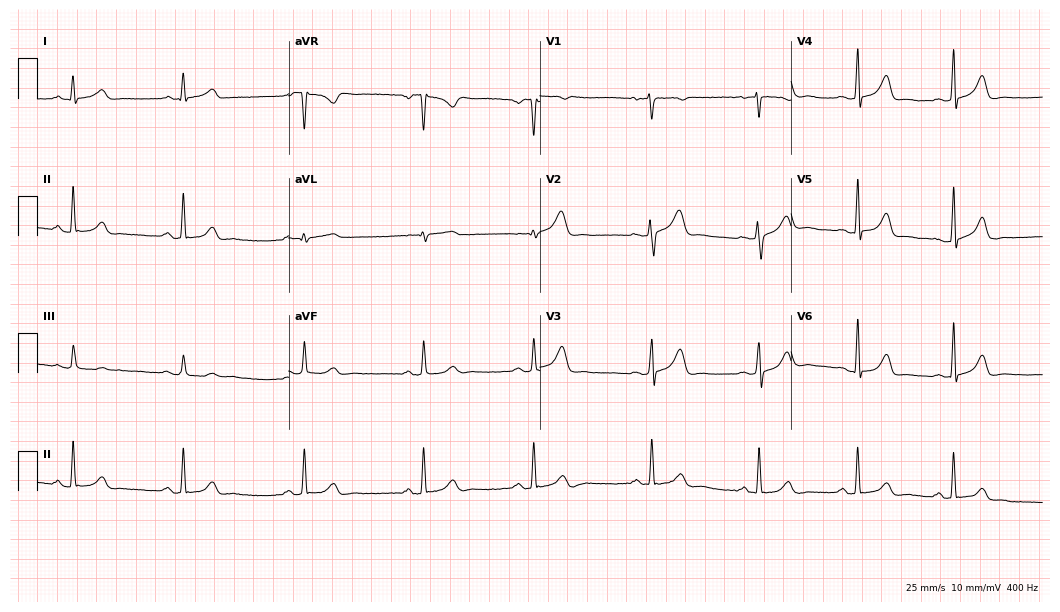
12-lead ECG (10.2-second recording at 400 Hz) from a female, 29 years old. Screened for six findings — first-degree AV block, right bundle branch block, left bundle branch block, sinus bradycardia, atrial fibrillation, sinus tachycardia — none is recorded. Other findings, if any, are not listed.